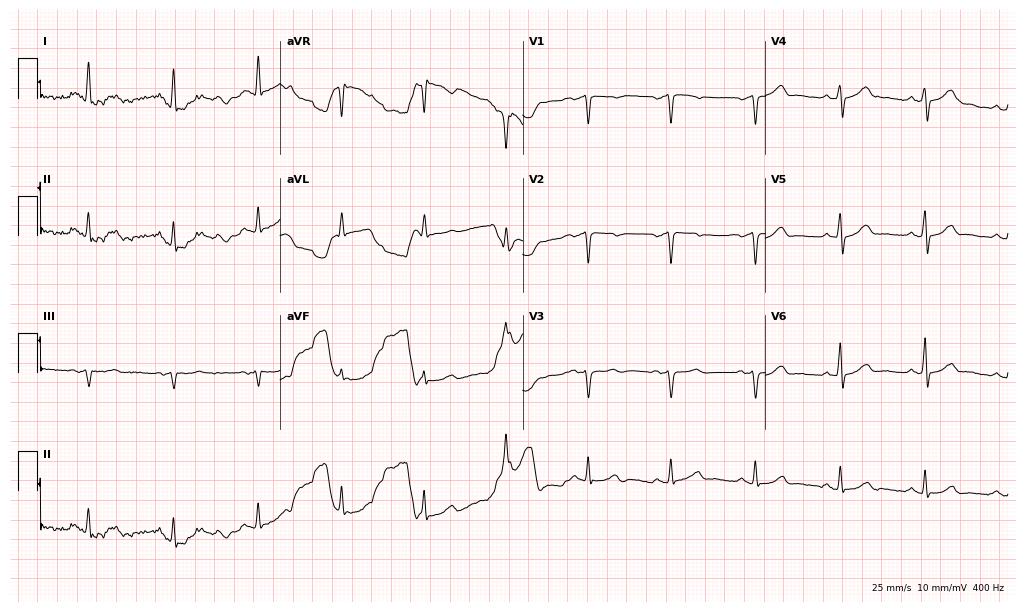
Electrocardiogram, a 60-year-old man. Overall reading on record: normal ECG.